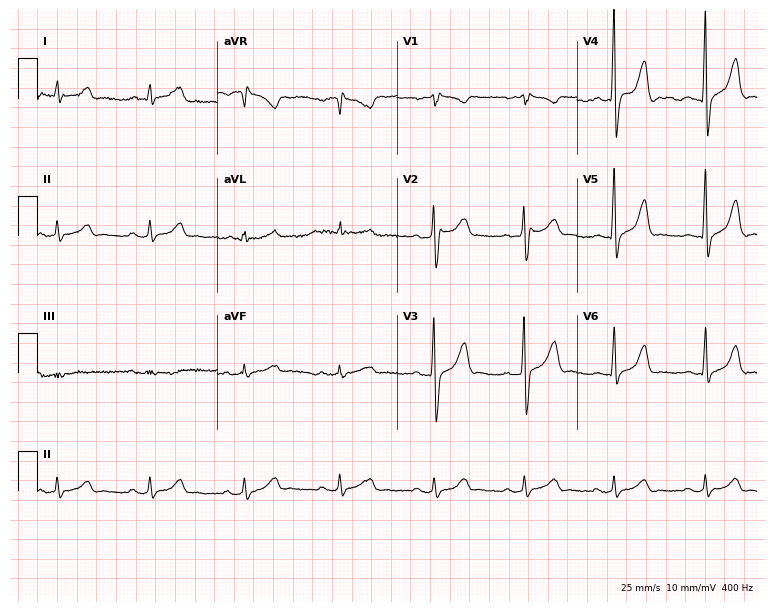
12-lead ECG from a 39-year-old man. Screened for six findings — first-degree AV block, right bundle branch block, left bundle branch block, sinus bradycardia, atrial fibrillation, sinus tachycardia — none is recorded. Findings outside these six are not listed.